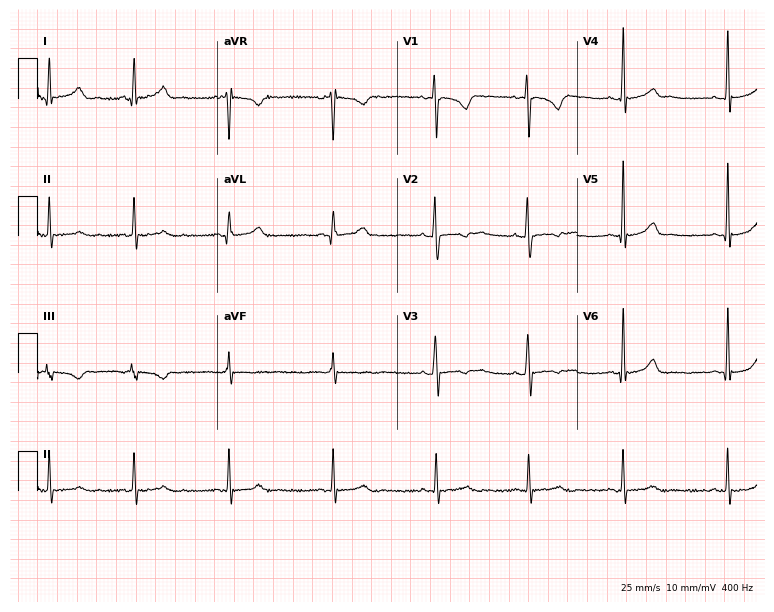
ECG (7.3-second recording at 400 Hz) — an 18-year-old woman. Labelled as a normal ECG.